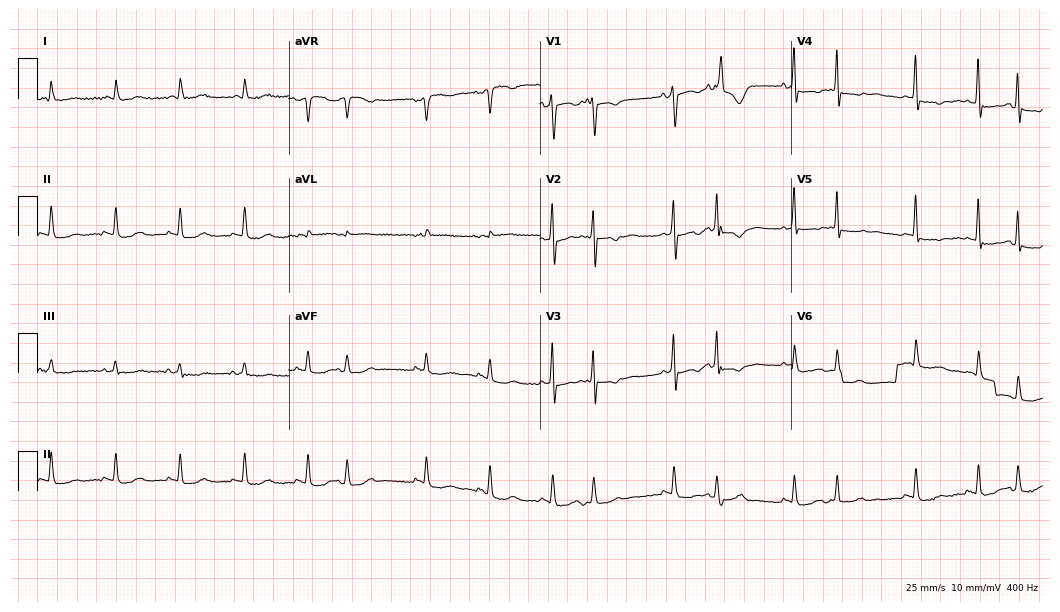
Resting 12-lead electrocardiogram (10.2-second recording at 400 Hz). Patient: a 76-year-old female. None of these six findings is recorded: first-degree AV block, right bundle branch block, left bundle branch block, sinus bradycardia, atrial fibrillation, sinus tachycardia. Only these six findings were labelled.